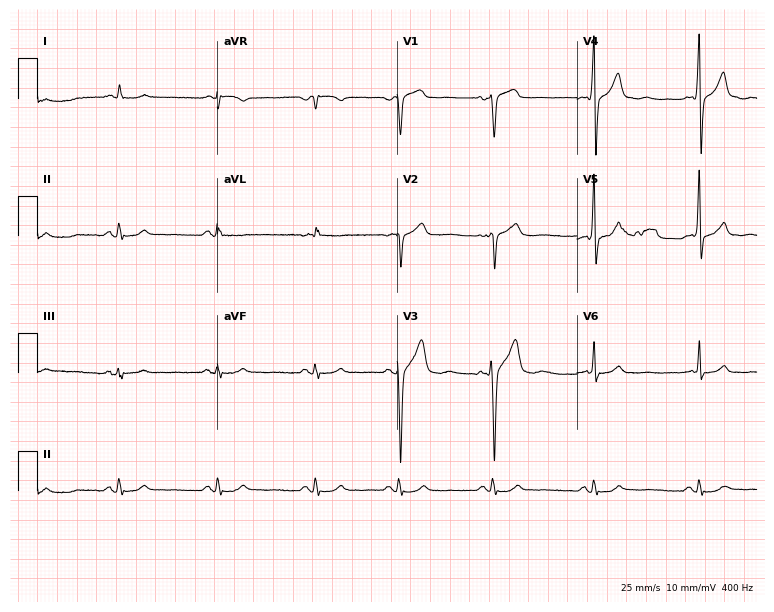
Standard 12-lead ECG recorded from a 68-year-old male. Read as a normal ECG.